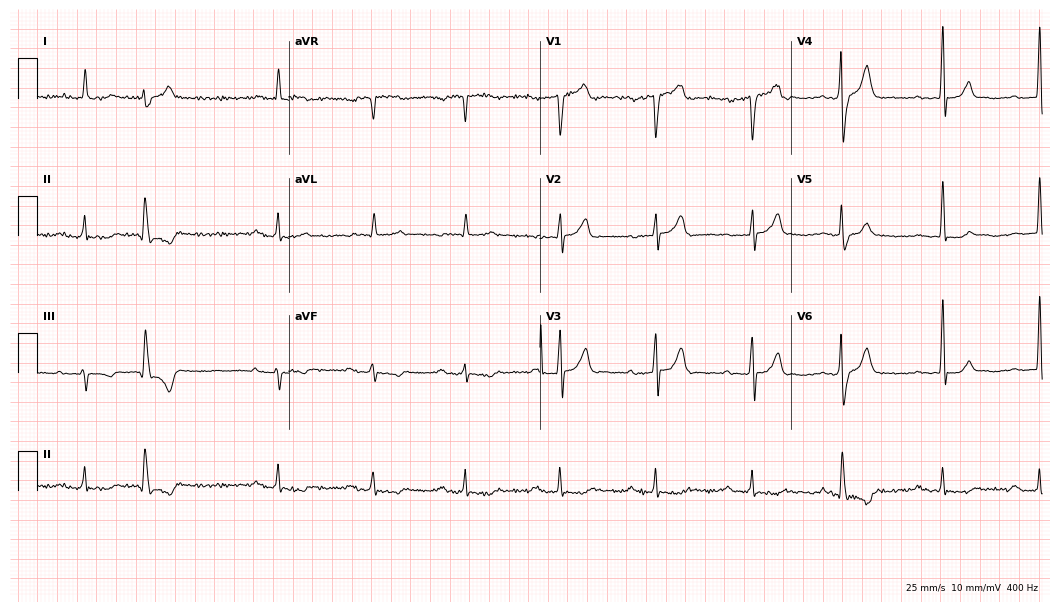
Electrocardiogram (10.2-second recording at 400 Hz), a man, 75 years old. Interpretation includes first-degree AV block.